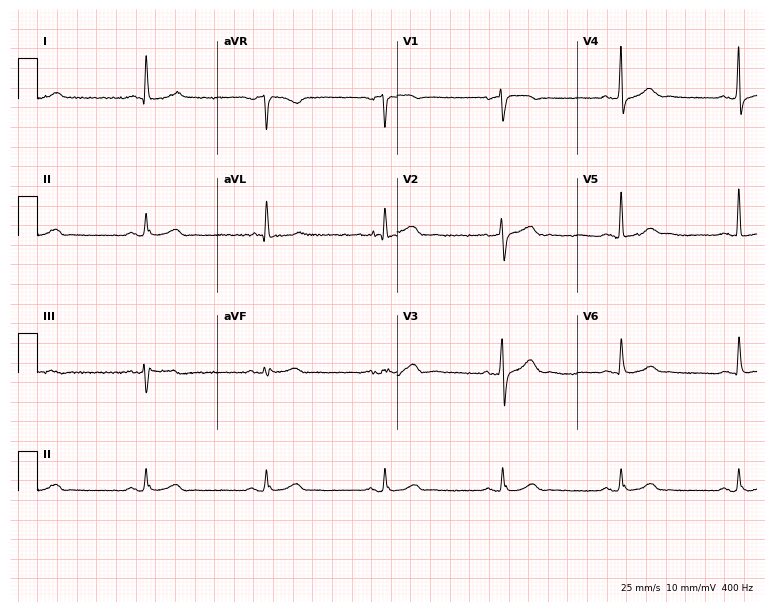
Standard 12-lead ECG recorded from a 71-year-old male (7.3-second recording at 400 Hz). The tracing shows sinus bradycardia (a sinus rate of 50 beats per minute or less).